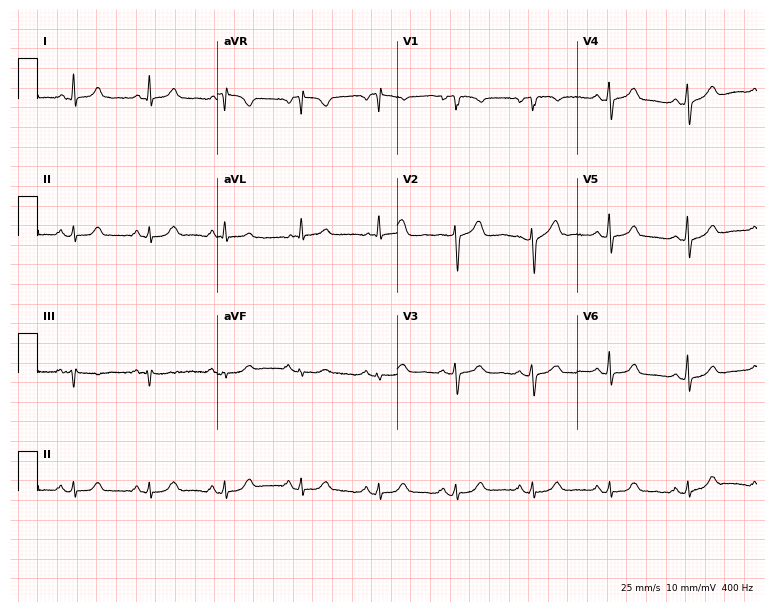
Electrocardiogram (7.3-second recording at 400 Hz), a 75-year-old female. Overall reading on record: normal ECG.